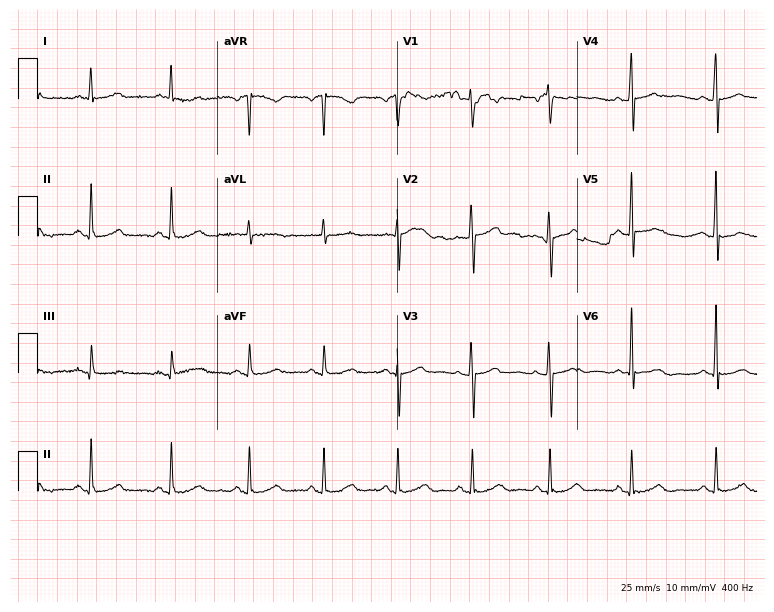
ECG (7.3-second recording at 400 Hz) — a female, 51 years old. Screened for six findings — first-degree AV block, right bundle branch block, left bundle branch block, sinus bradycardia, atrial fibrillation, sinus tachycardia — none is recorded.